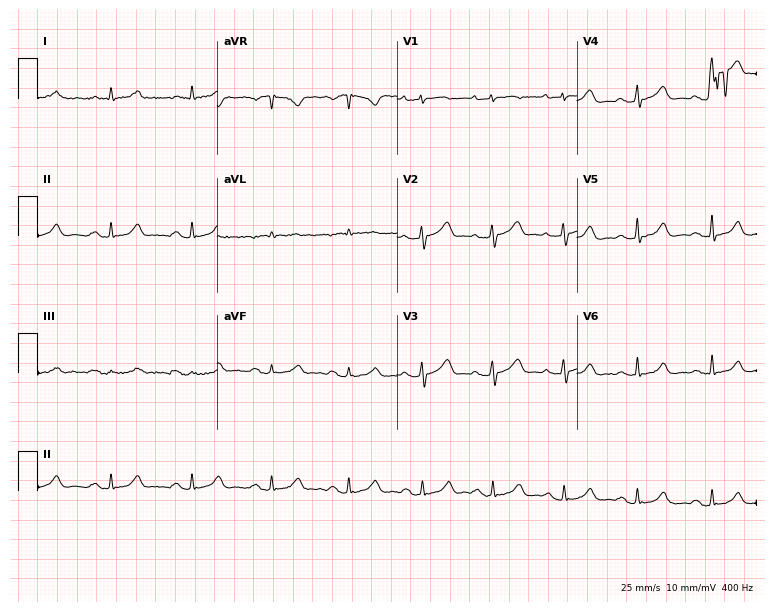
ECG — a female patient, 69 years old. Screened for six findings — first-degree AV block, right bundle branch block, left bundle branch block, sinus bradycardia, atrial fibrillation, sinus tachycardia — none is recorded.